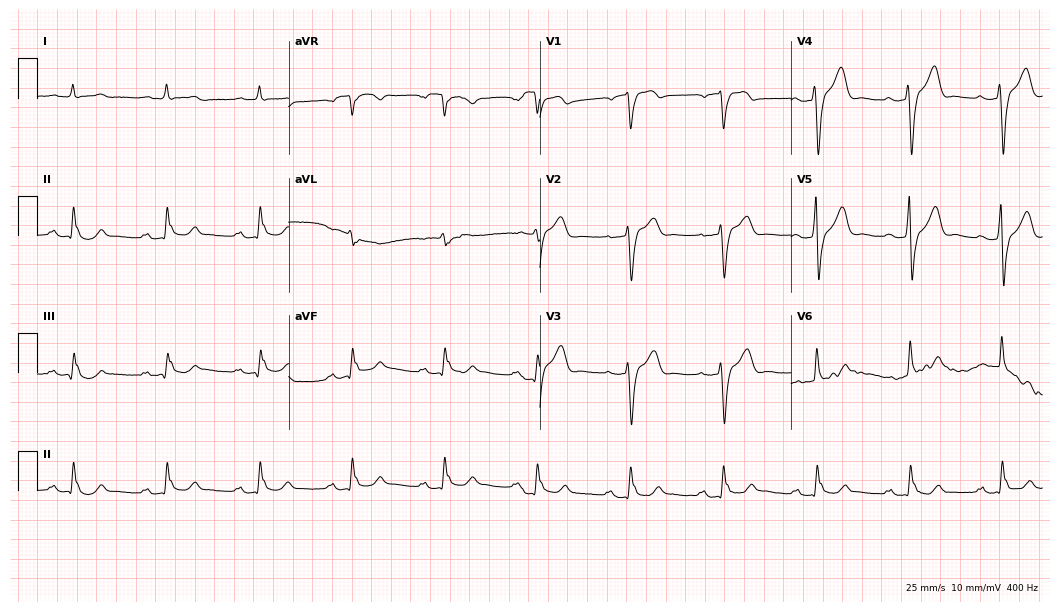
12-lead ECG from a male, 78 years old. Findings include first-degree AV block.